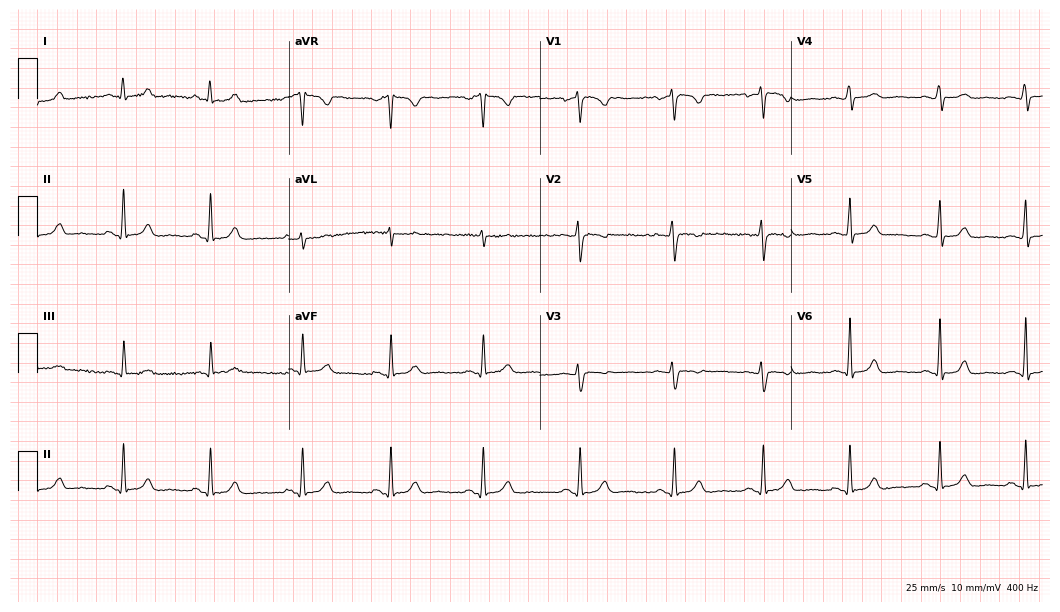
Resting 12-lead electrocardiogram (10.2-second recording at 400 Hz). Patient: a 34-year-old female. None of these six findings is recorded: first-degree AV block, right bundle branch block, left bundle branch block, sinus bradycardia, atrial fibrillation, sinus tachycardia. Only these six findings were labelled.